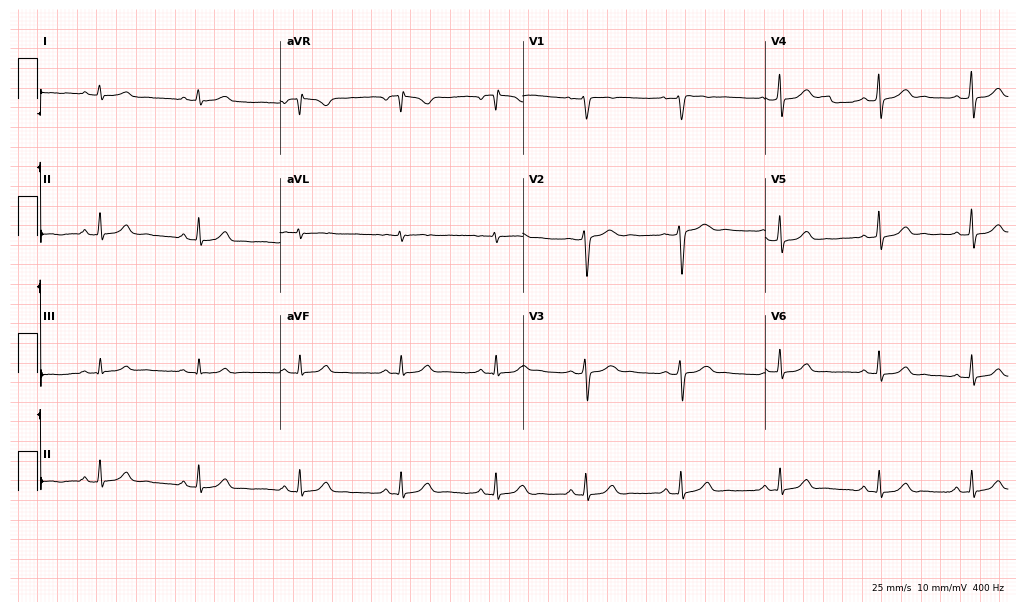
12-lead ECG from a 44-year-old female. Labelled as a normal ECG.